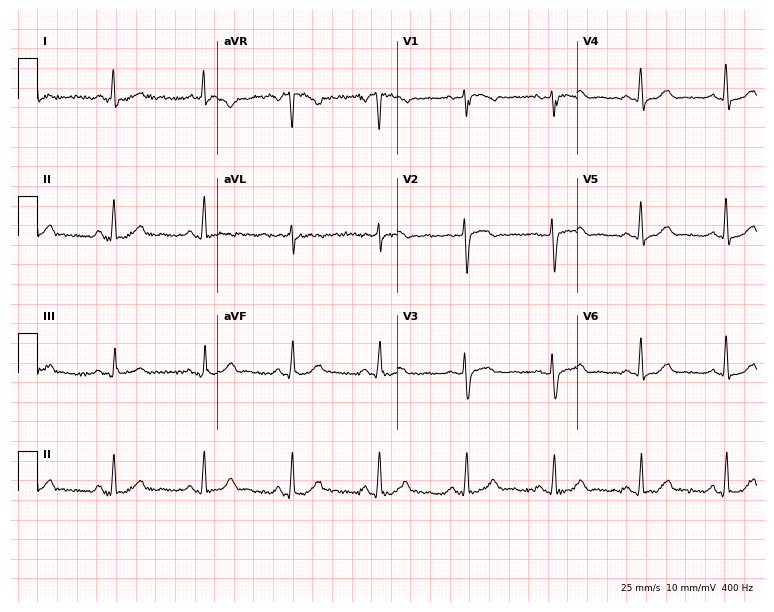
ECG (7.3-second recording at 400 Hz) — a female, 59 years old. Labelled as a normal ECG.